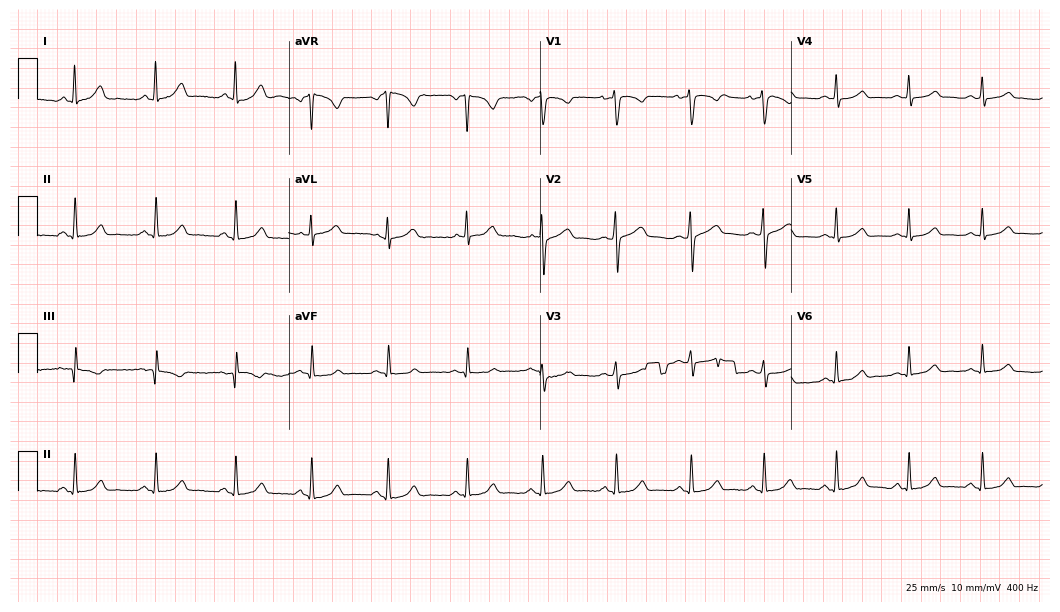
12-lead ECG from a 27-year-old woman (10.2-second recording at 400 Hz). Recorded interpretation: within normal limits.